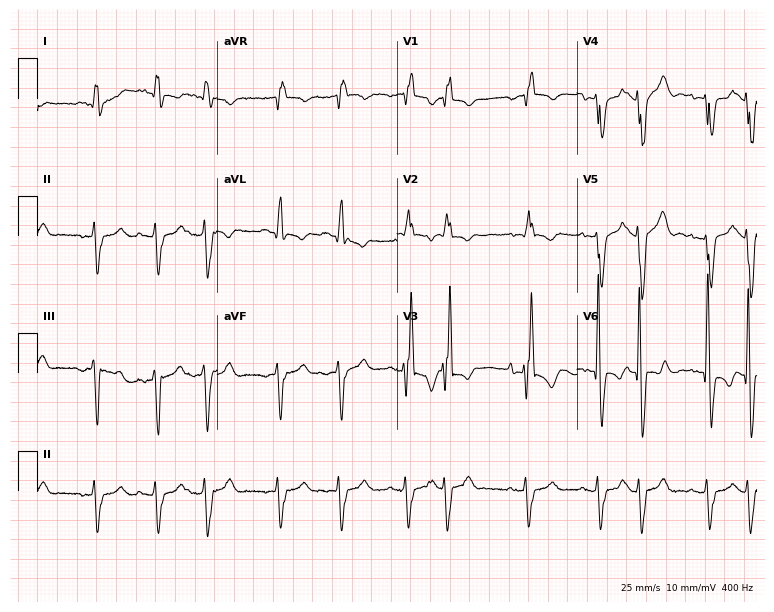
12-lead ECG from a female patient, 76 years old. Findings include right bundle branch block (RBBB), left bundle branch block (LBBB), atrial fibrillation (AF).